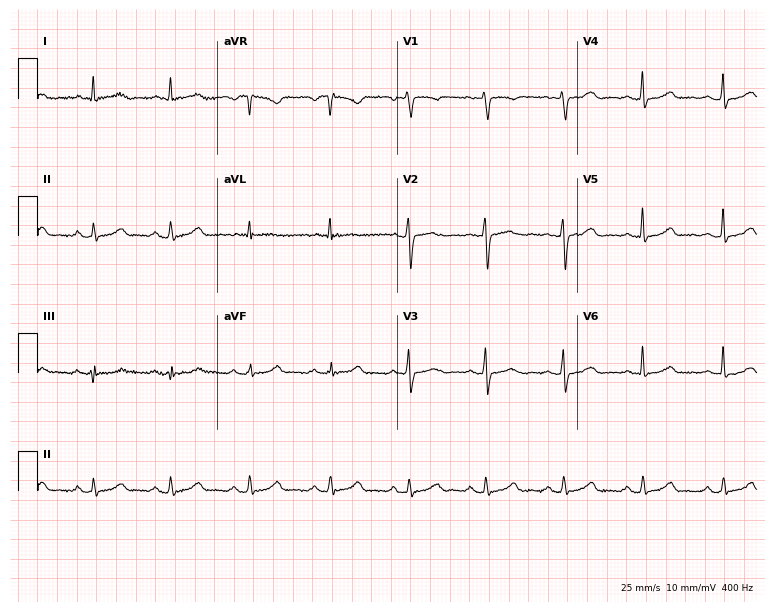
Resting 12-lead electrocardiogram (7.3-second recording at 400 Hz). Patient: a female, 34 years old. None of these six findings is recorded: first-degree AV block, right bundle branch block (RBBB), left bundle branch block (LBBB), sinus bradycardia, atrial fibrillation (AF), sinus tachycardia.